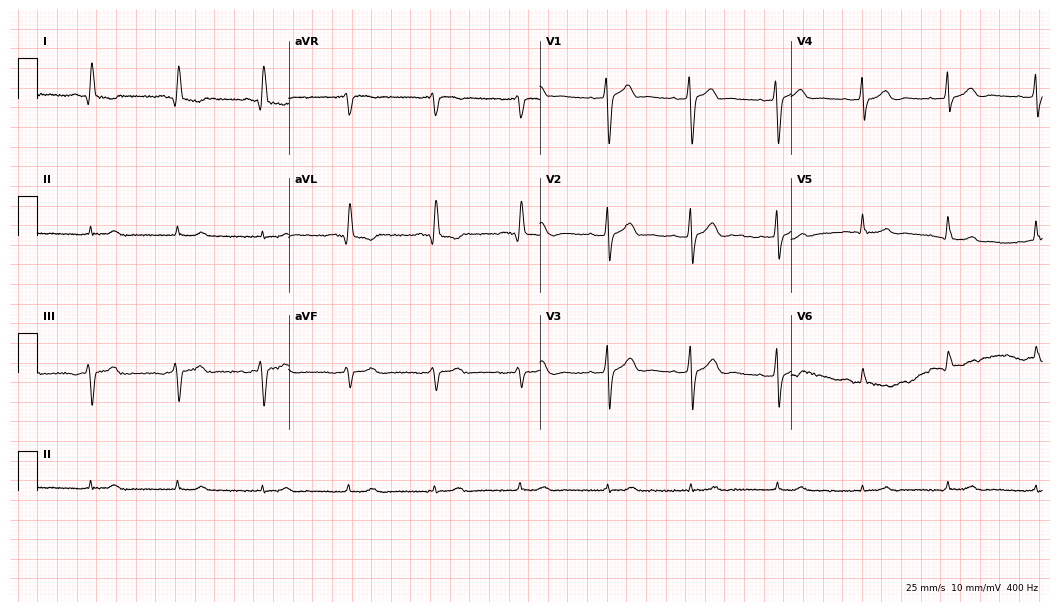
Standard 12-lead ECG recorded from a 77-year-old male (10.2-second recording at 400 Hz). None of these six findings is recorded: first-degree AV block, right bundle branch block (RBBB), left bundle branch block (LBBB), sinus bradycardia, atrial fibrillation (AF), sinus tachycardia. Only these six findings were labelled.